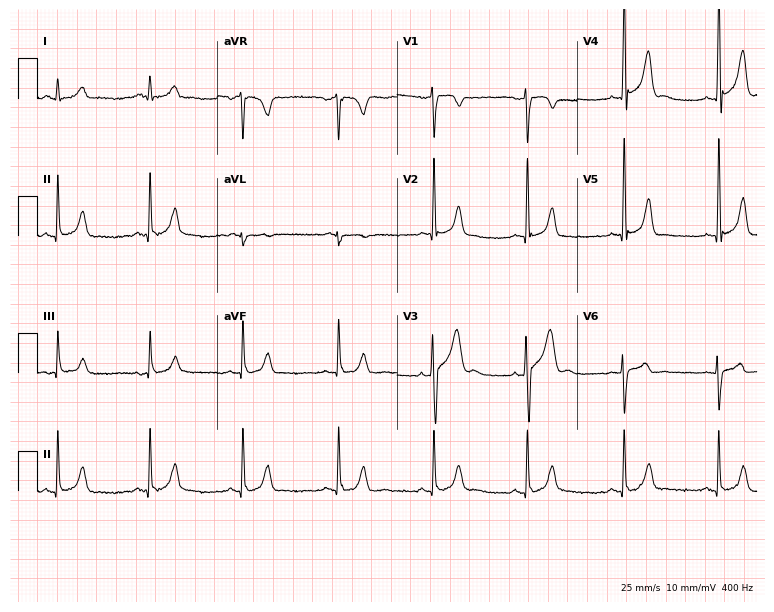
Resting 12-lead electrocardiogram (7.3-second recording at 400 Hz). Patient: a male, 42 years old. Read as a normal ECG.